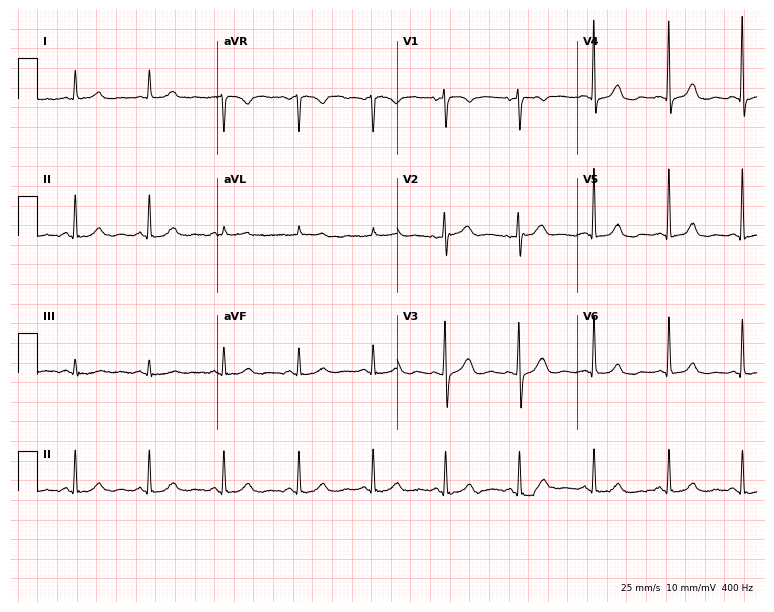
Resting 12-lead electrocardiogram. Patient: a female, 62 years old. Read as a normal ECG.